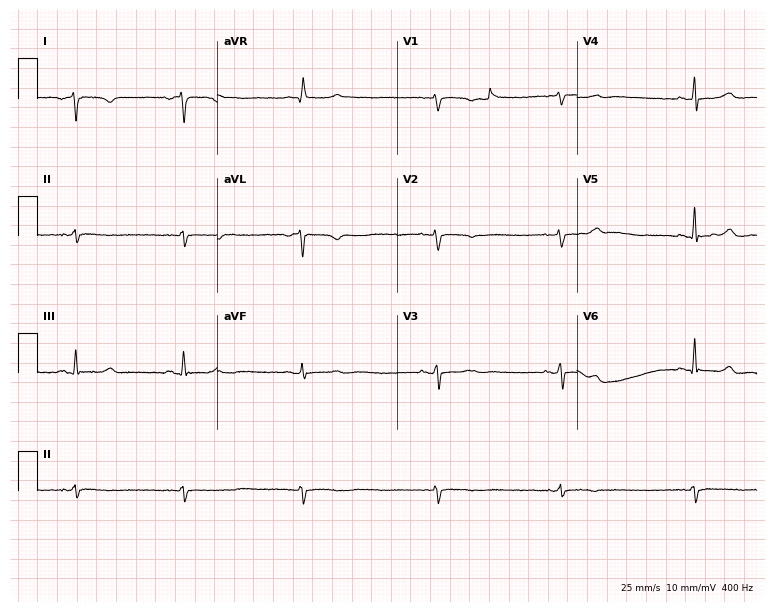
Resting 12-lead electrocardiogram (7.3-second recording at 400 Hz). Patient: a woman, 48 years old. None of these six findings is recorded: first-degree AV block, right bundle branch block (RBBB), left bundle branch block (LBBB), sinus bradycardia, atrial fibrillation (AF), sinus tachycardia. Findings outside these six are not listed.